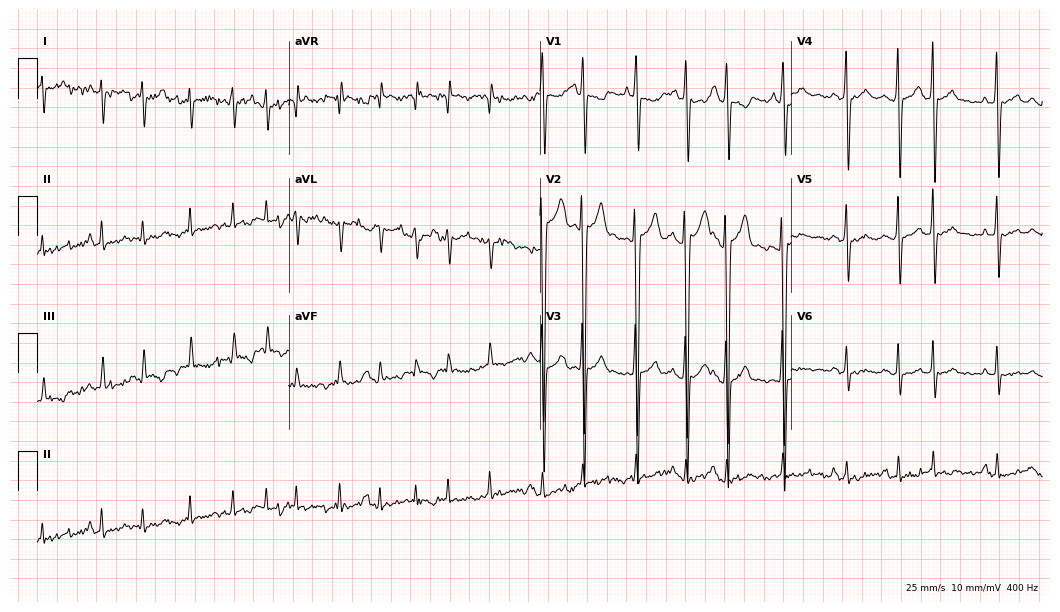
ECG — an 83-year-old female patient. Screened for six findings — first-degree AV block, right bundle branch block (RBBB), left bundle branch block (LBBB), sinus bradycardia, atrial fibrillation (AF), sinus tachycardia — none is recorded.